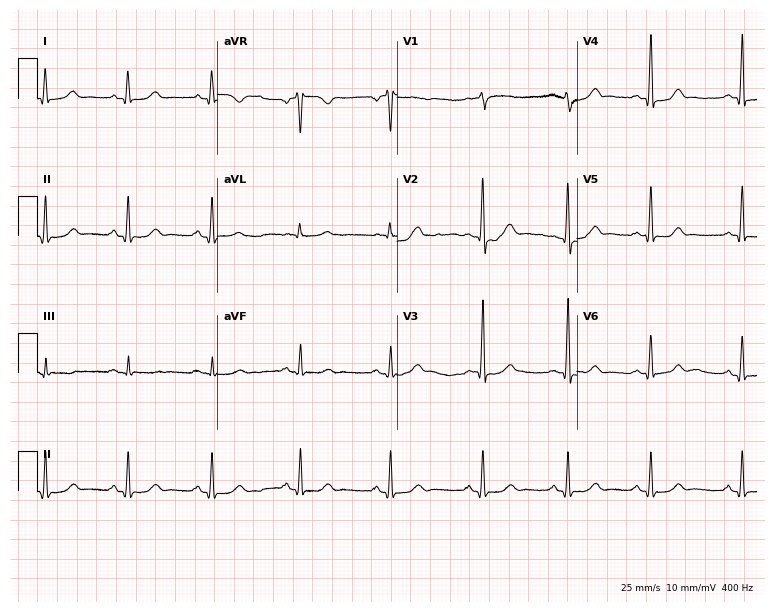
Resting 12-lead electrocardiogram. Patient: a 43-year-old female. Read as a normal ECG.